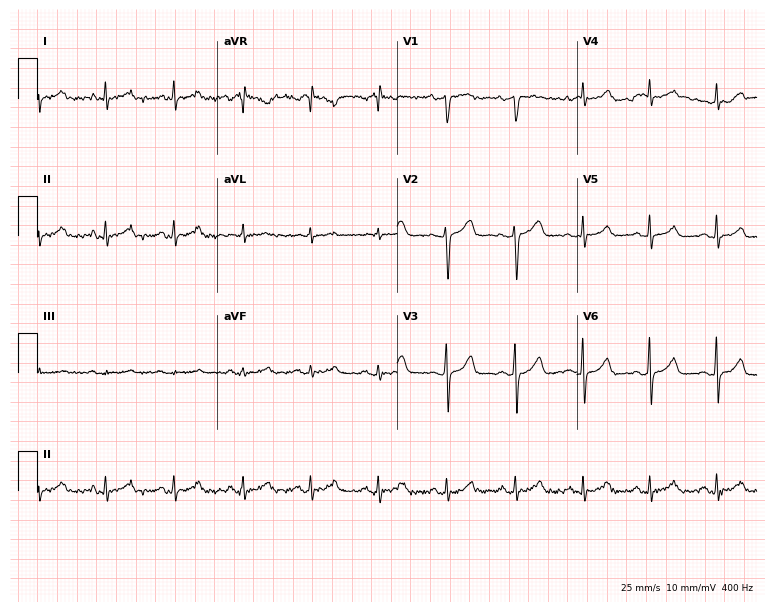
ECG — a 40-year-old woman. Labelled as a normal ECG.